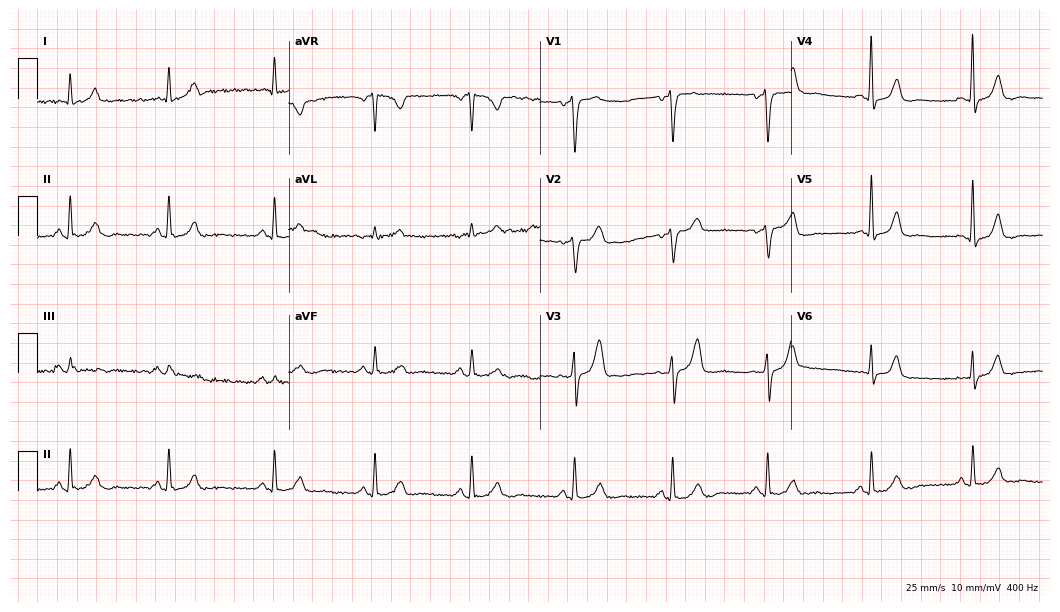
Resting 12-lead electrocardiogram. Patient: a 43-year-old female. None of these six findings is recorded: first-degree AV block, right bundle branch block, left bundle branch block, sinus bradycardia, atrial fibrillation, sinus tachycardia. Other findings, if any, are not listed.